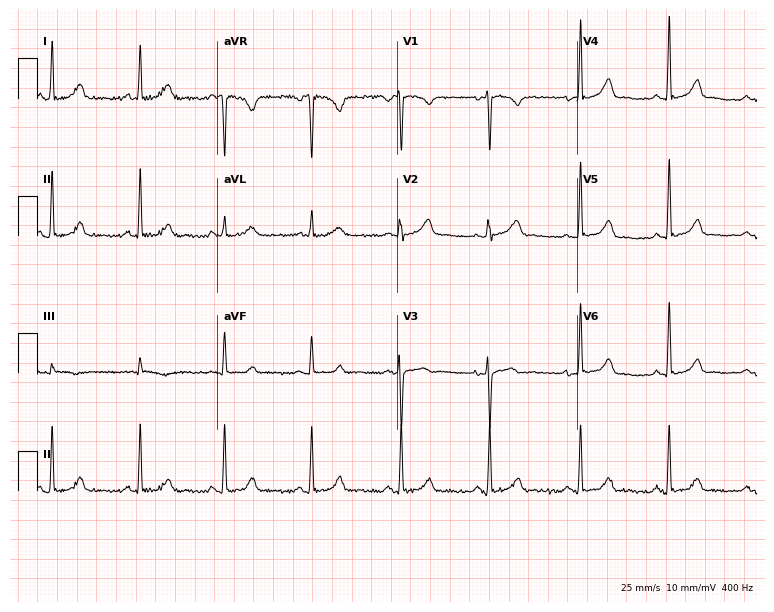
12-lead ECG (7.3-second recording at 400 Hz) from a 36-year-old female patient. Labelled as a normal ECG.